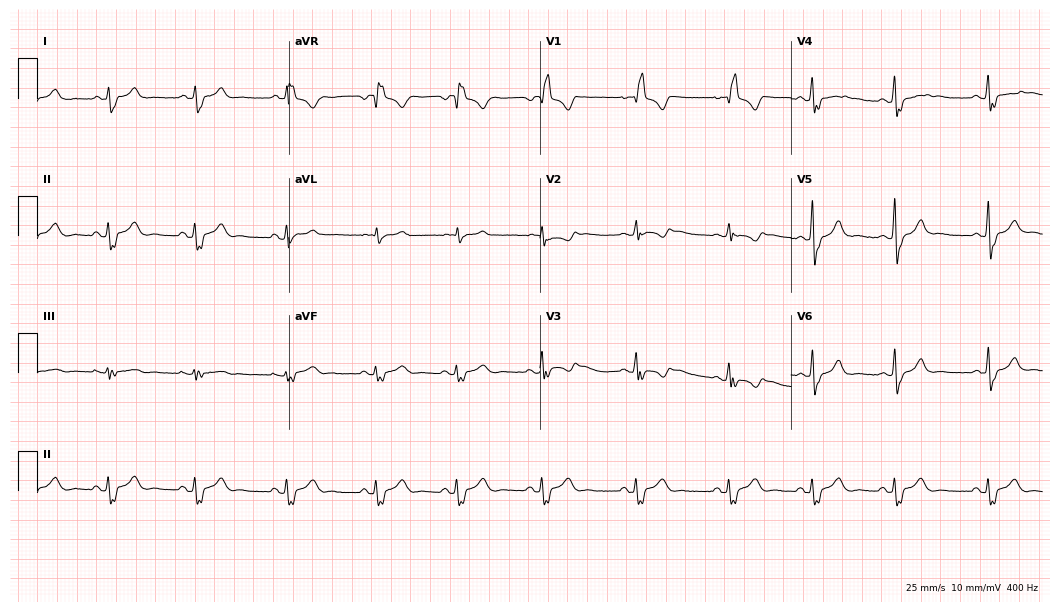
12-lead ECG from a 23-year-old woman. Findings include right bundle branch block (RBBB).